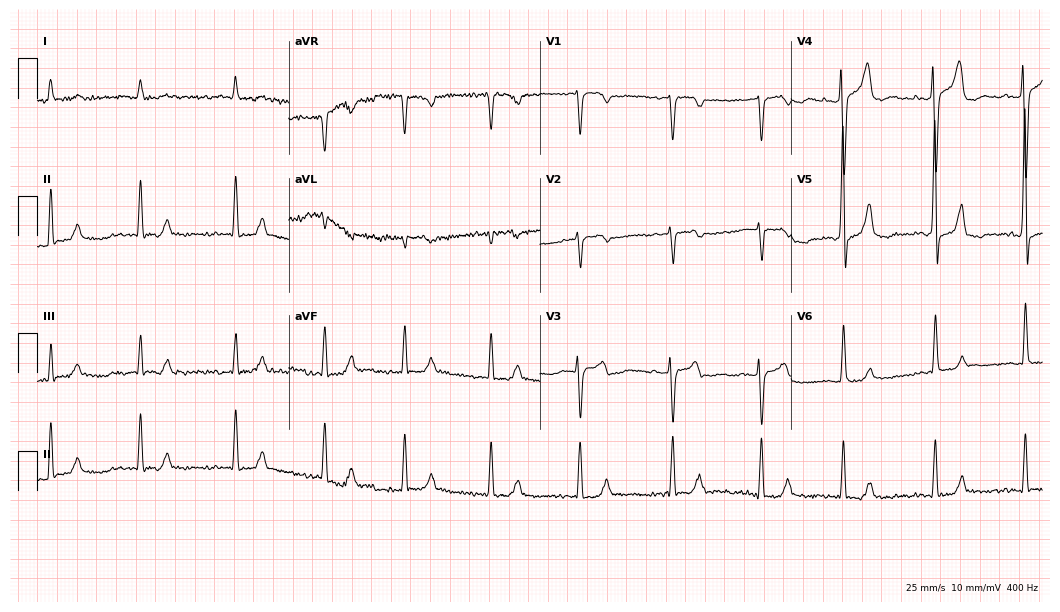
Resting 12-lead electrocardiogram (10.2-second recording at 400 Hz). Patient: a 61-year-old male. None of these six findings is recorded: first-degree AV block, right bundle branch block, left bundle branch block, sinus bradycardia, atrial fibrillation, sinus tachycardia.